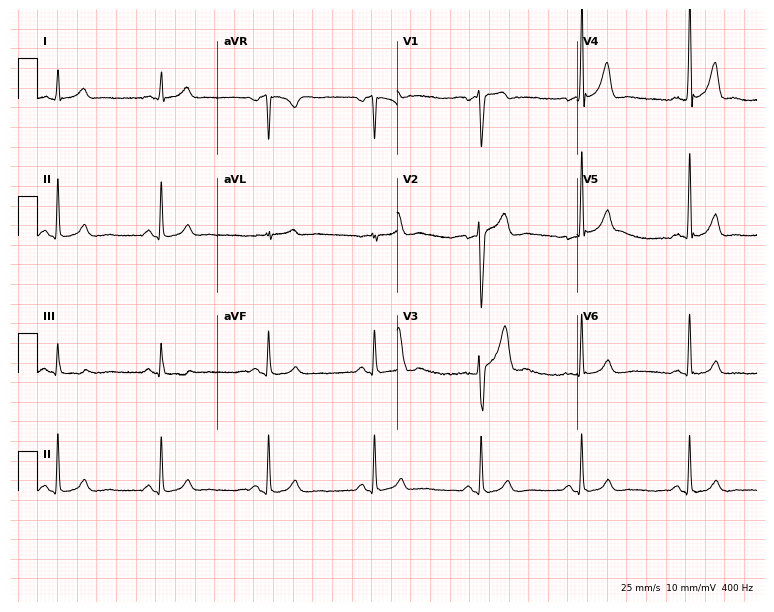
Standard 12-lead ECG recorded from a male patient, 32 years old. None of these six findings is recorded: first-degree AV block, right bundle branch block, left bundle branch block, sinus bradycardia, atrial fibrillation, sinus tachycardia.